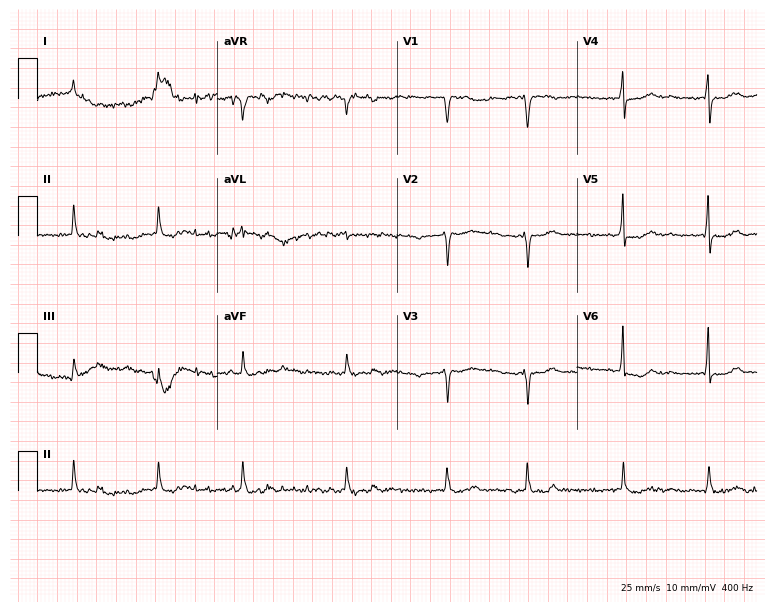
12-lead ECG from a 67-year-old male. Findings include atrial fibrillation.